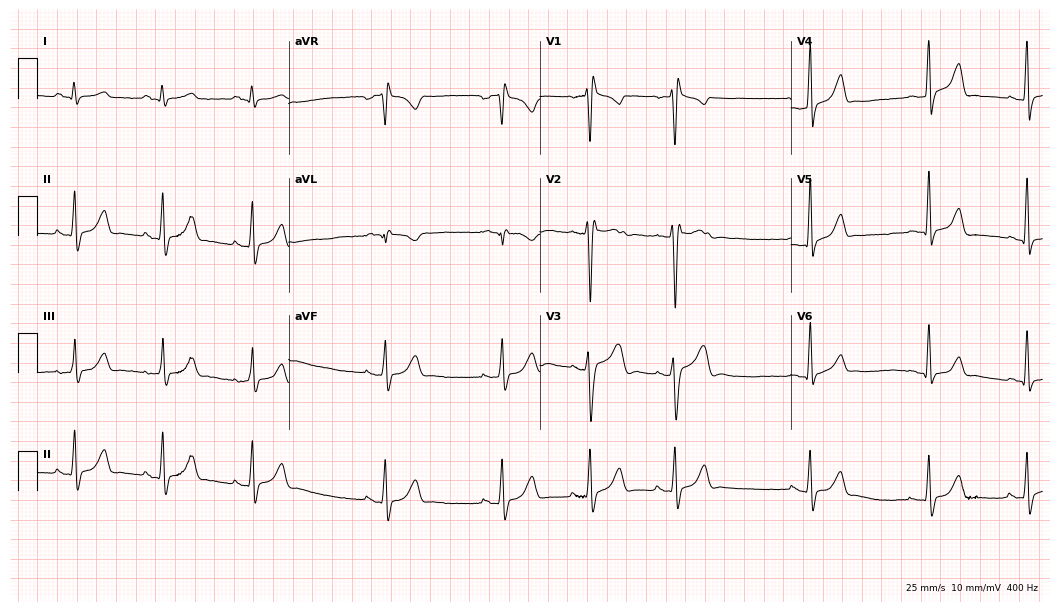
Resting 12-lead electrocardiogram (10.2-second recording at 400 Hz). Patient: a 30-year-old male. The tracing shows right bundle branch block (RBBB).